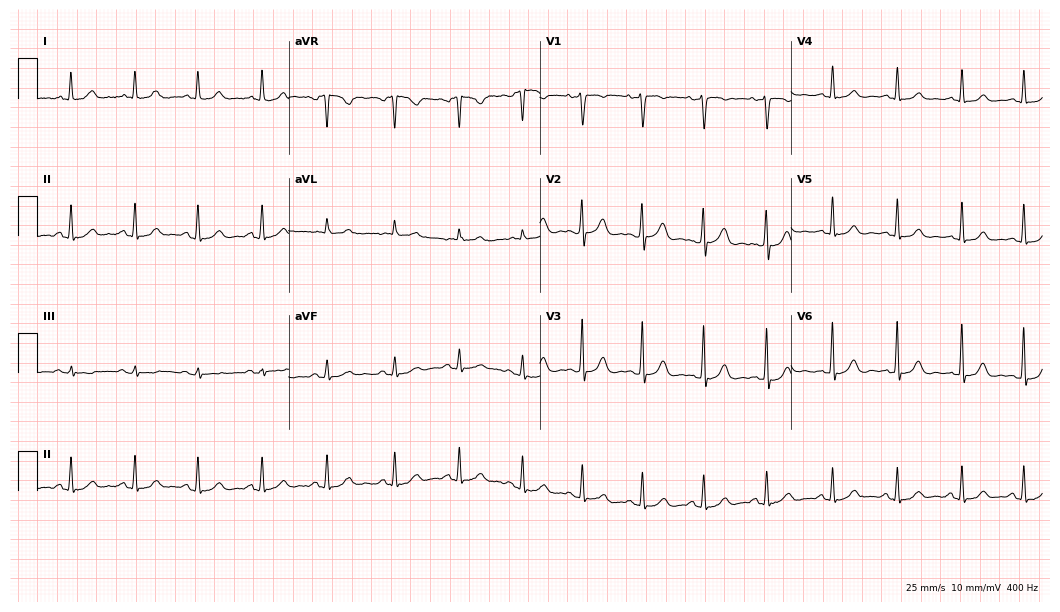
Electrocardiogram (10.2-second recording at 400 Hz), a female, 30 years old. Overall reading on record: normal ECG.